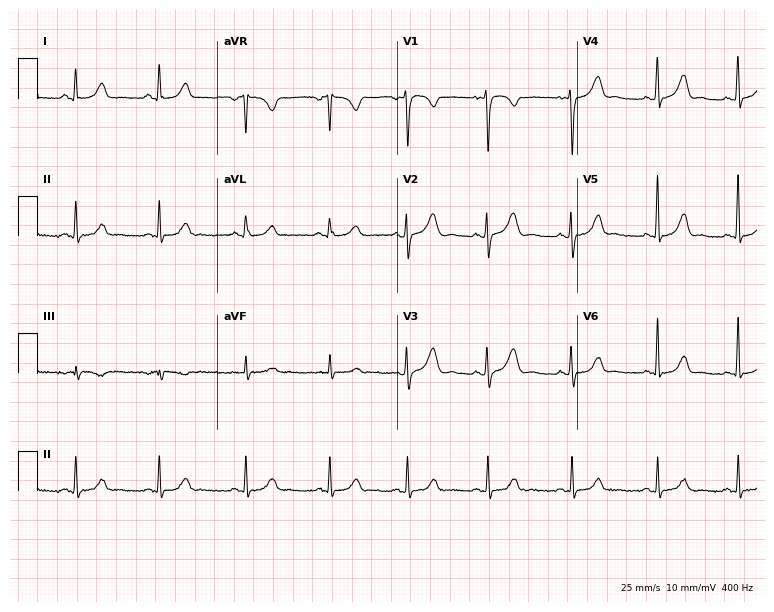
12-lead ECG from a 21-year-old female patient. Recorded interpretation: within normal limits.